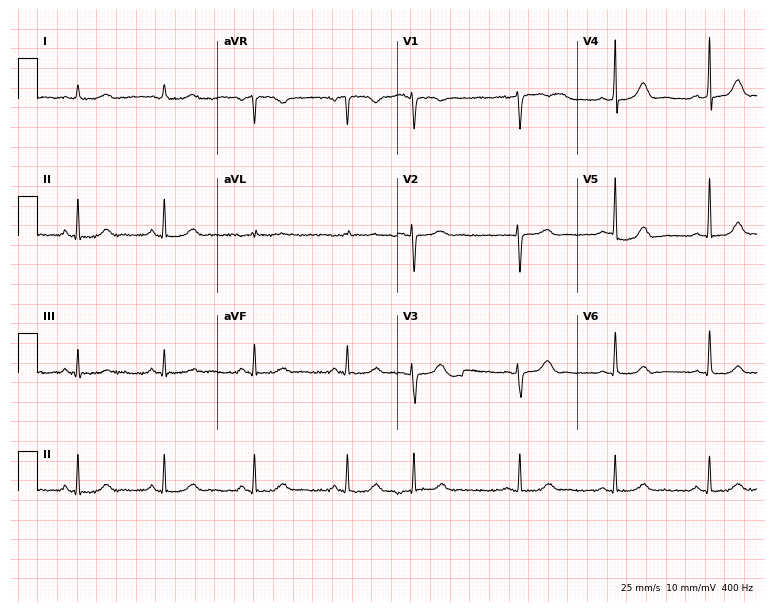
Resting 12-lead electrocardiogram (7.3-second recording at 400 Hz). Patient: a 33-year-old female. Read as a normal ECG.